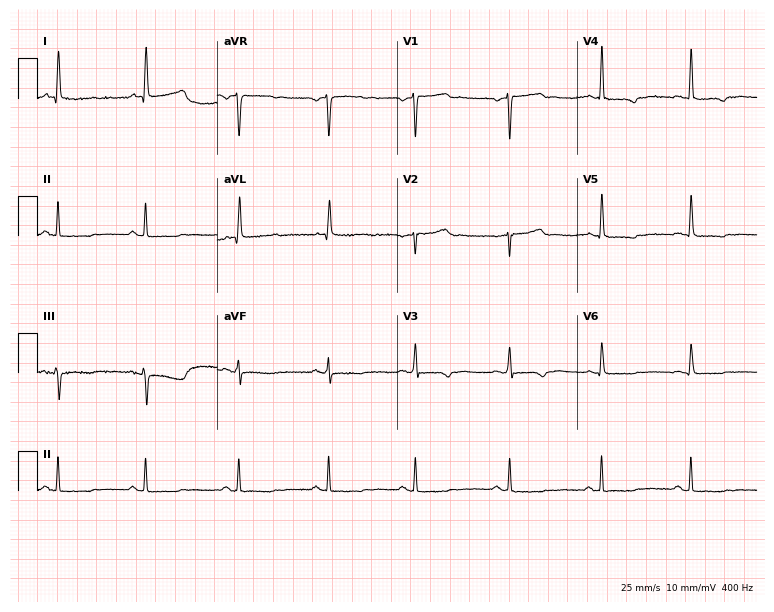
Resting 12-lead electrocardiogram (7.3-second recording at 400 Hz). Patient: a 54-year-old female. None of these six findings is recorded: first-degree AV block, right bundle branch block (RBBB), left bundle branch block (LBBB), sinus bradycardia, atrial fibrillation (AF), sinus tachycardia.